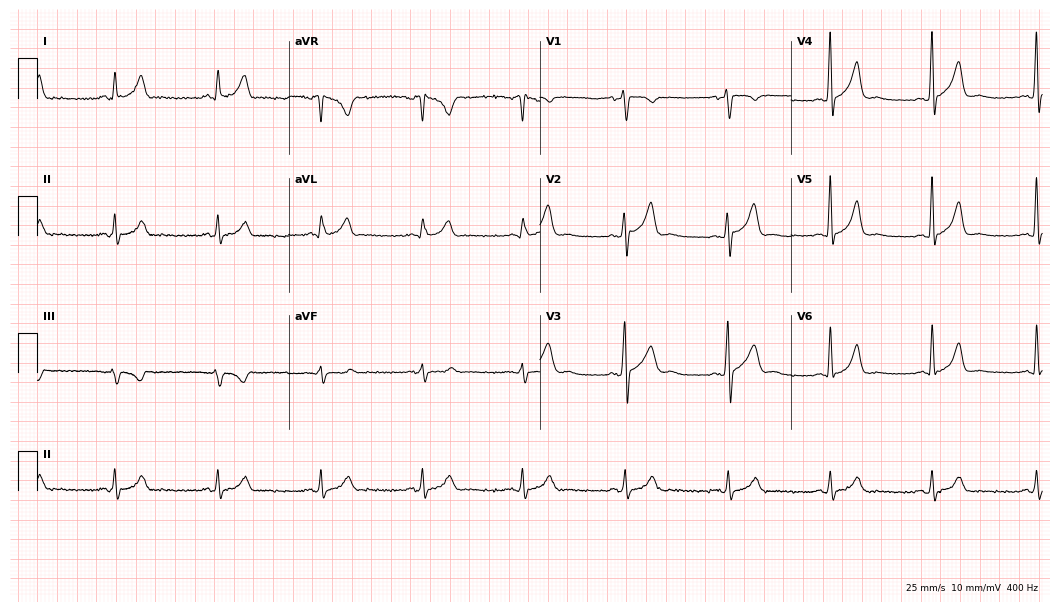
12-lead ECG from a male, 41 years old. No first-degree AV block, right bundle branch block, left bundle branch block, sinus bradycardia, atrial fibrillation or sinus tachycardia recorded for this tracing.